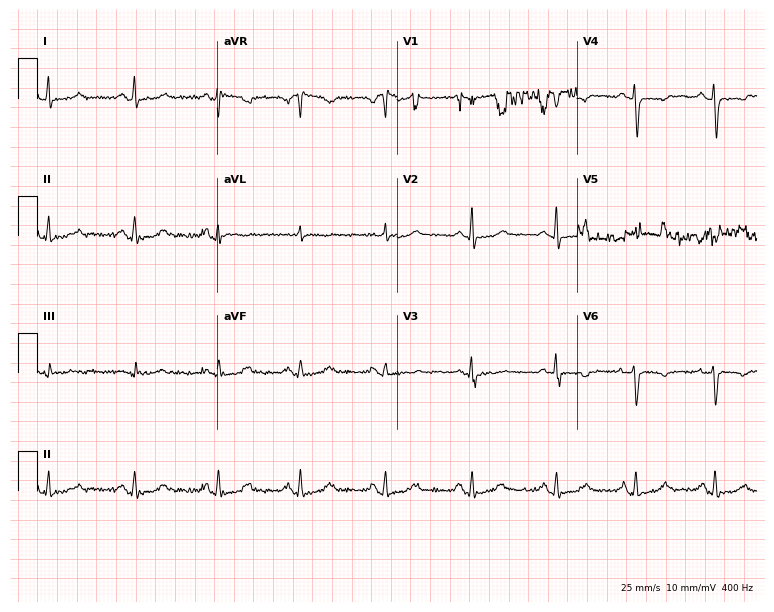
ECG (7.3-second recording at 400 Hz) — a female, 45 years old. Screened for six findings — first-degree AV block, right bundle branch block, left bundle branch block, sinus bradycardia, atrial fibrillation, sinus tachycardia — none is recorded. Findings outside these six are not listed.